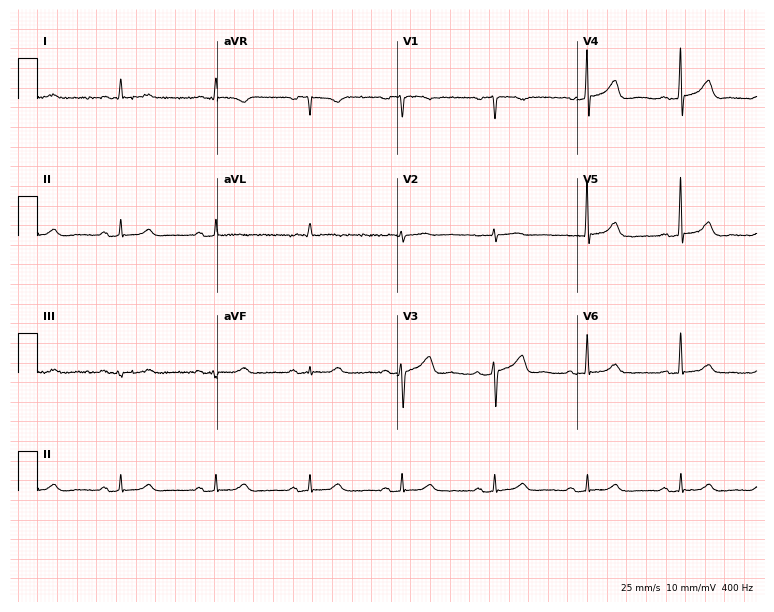
Resting 12-lead electrocardiogram (7.3-second recording at 400 Hz). Patient: a man, 65 years old. Read as a normal ECG.